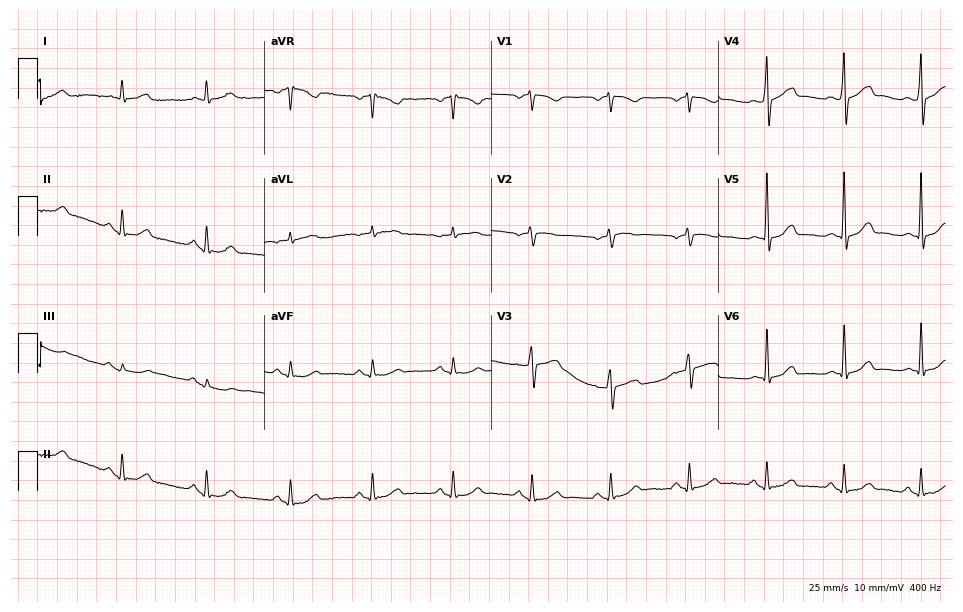
Resting 12-lead electrocardiogram. Patient: a 71-year-old male. Read as a normal ECG.